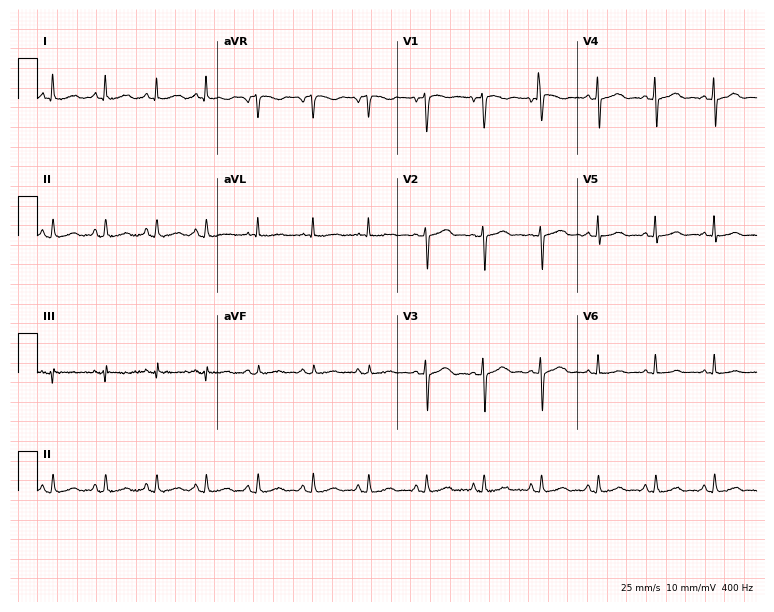
Electrocardiogram (7.3-second recording at 400 Hz), a 39-year-old woman. Interpretation includes sinus tachycardia (a sinus rate of 100 beats per minute or more).